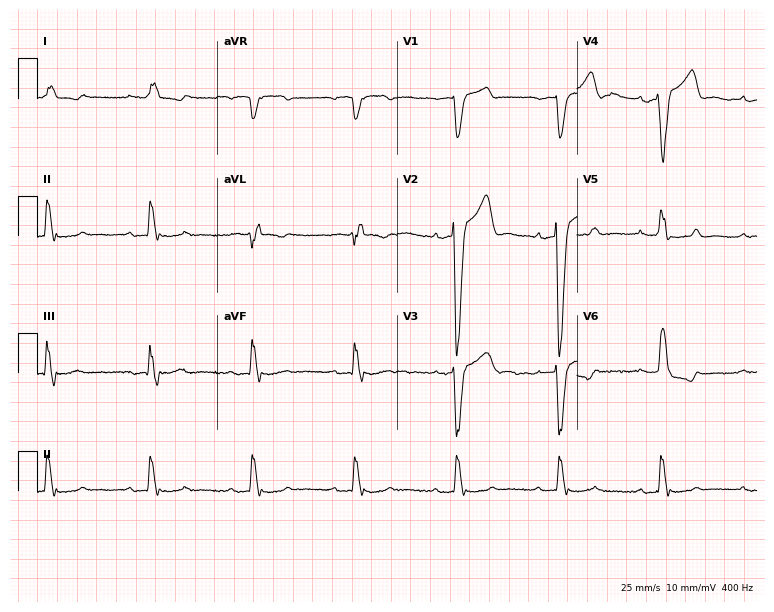
12-lead ECG from an 81-year-old male. No first-degree AV block, right bundle branch block, left bundle branch block, sinus bradycardia, atrial fibrillation or sinus tachycardia recorded for this tracing.